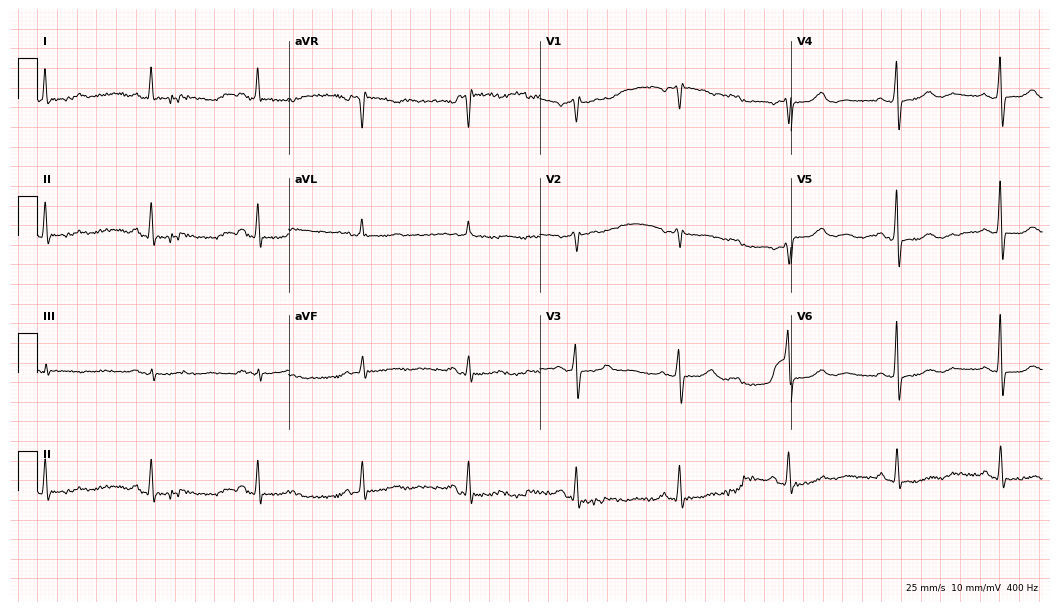
Resting 12-lead electrocardiogram (10.2-second recording at 400 Hz). Patient: a female, 61 years old. Read as a normal ECG.